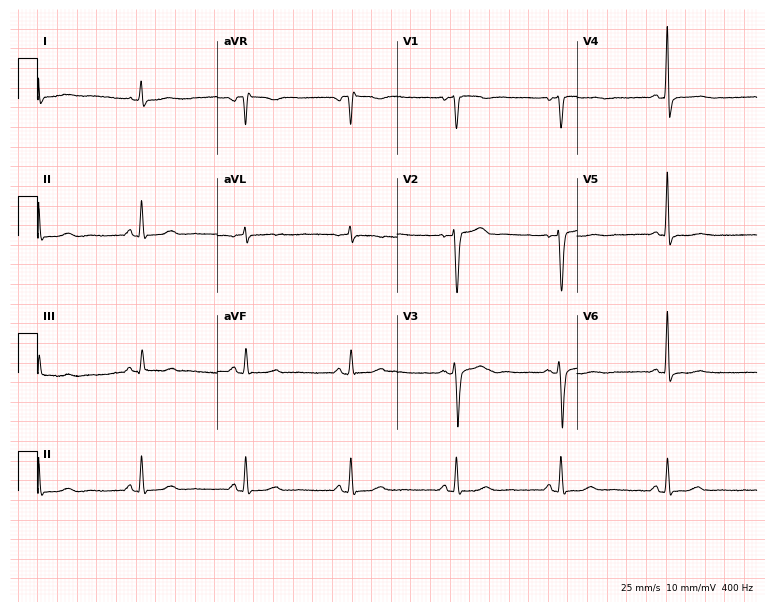
12-lead ECG from a female, 62 years old. Screened for six findings — first-degree AV block, right bundle branch block, left bundle branch block, sinus bradycardia, atrial fibrillation, sinus tachycardia — none is recorded.